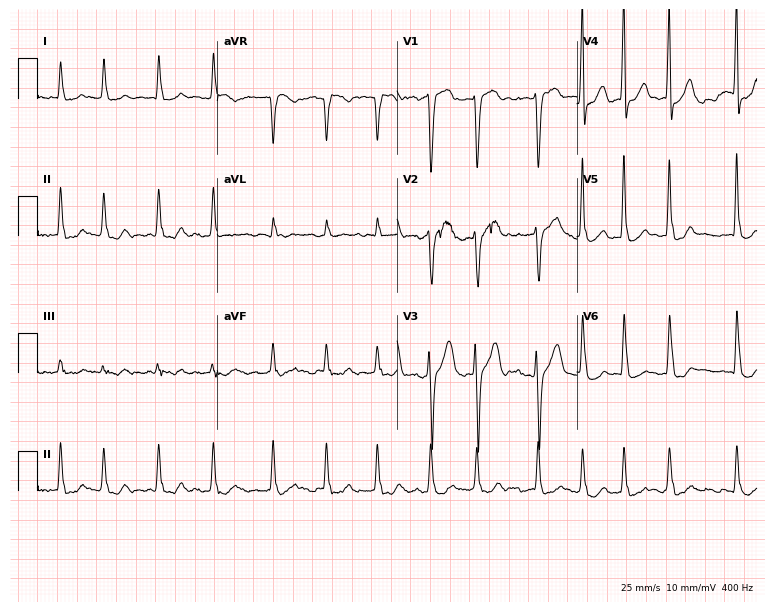
Resting 12-lead electrocardiogram. Patient: a male, 53 years old. The tracing shows atrial fibrillation.